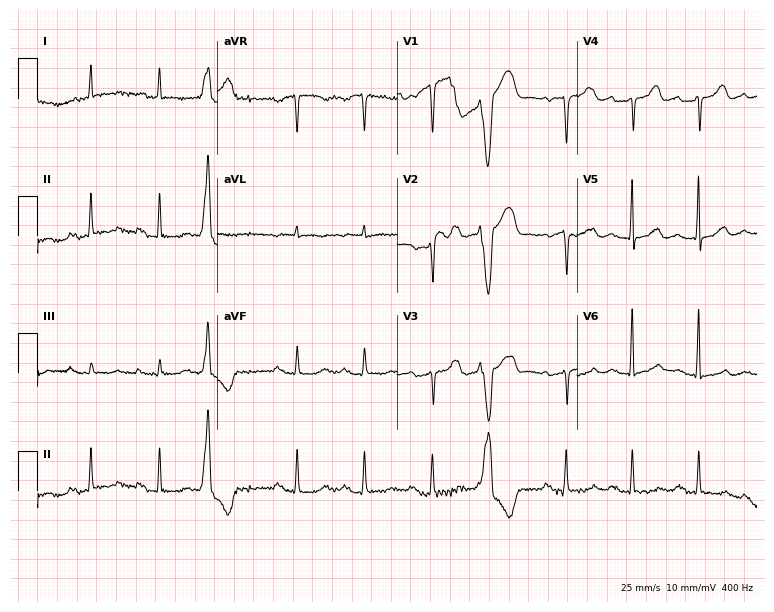
Electrocardiogram, a 79-year-old female. Of the six screened findings (first-degree AV block, right bundle branch block, left bundle branch block, sinus bradycardia, atrial fibrillation, sinus tachycardia), none is recorded. Only these six findings were labelled.